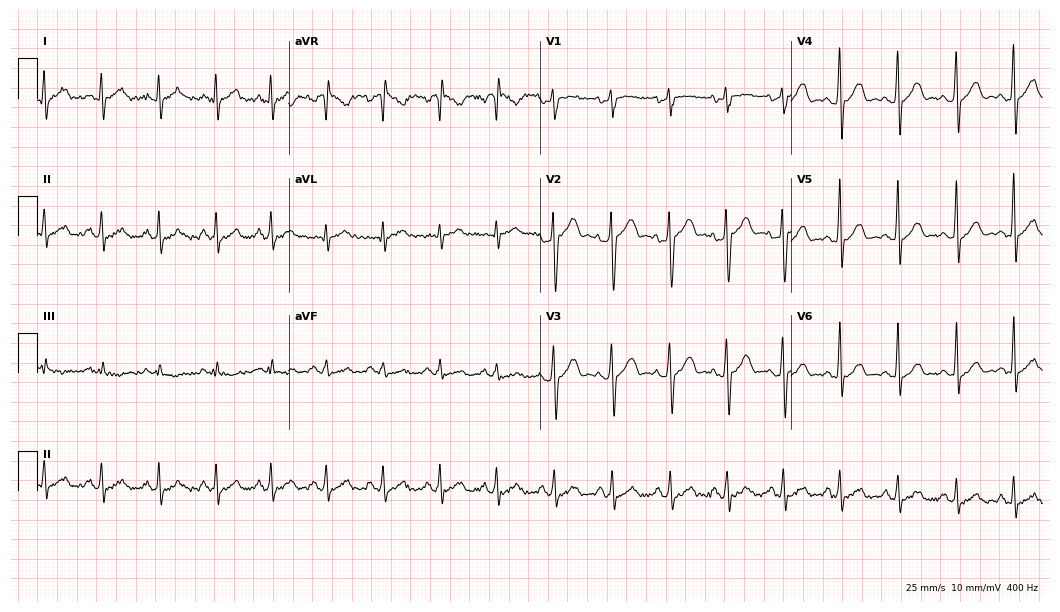
12-lead ECG (10.2-second recording at 400 Hz) from a 28-year-old male patient. Findings include sinus tachycardia (a sinus rate of 100 beats per minute or more).